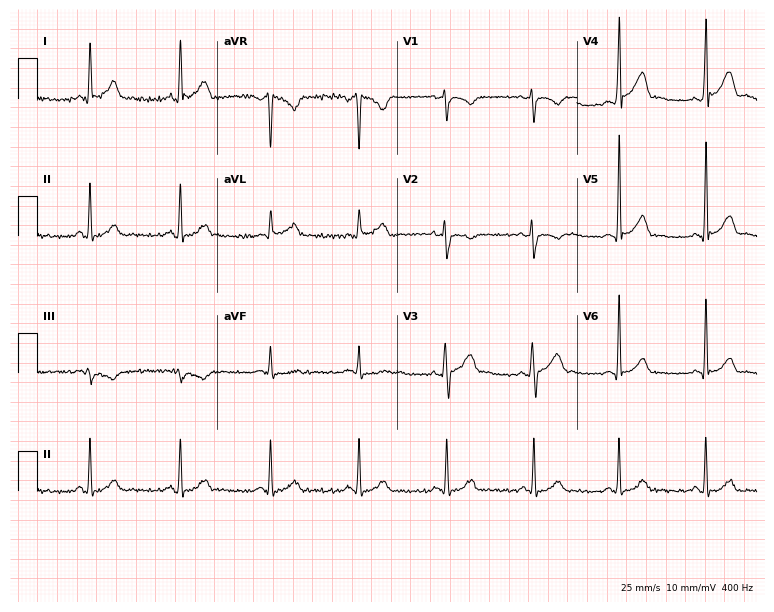
Standard 12-lead ECG recorded from a 42-year-old male patient. Read as a normal ECG.